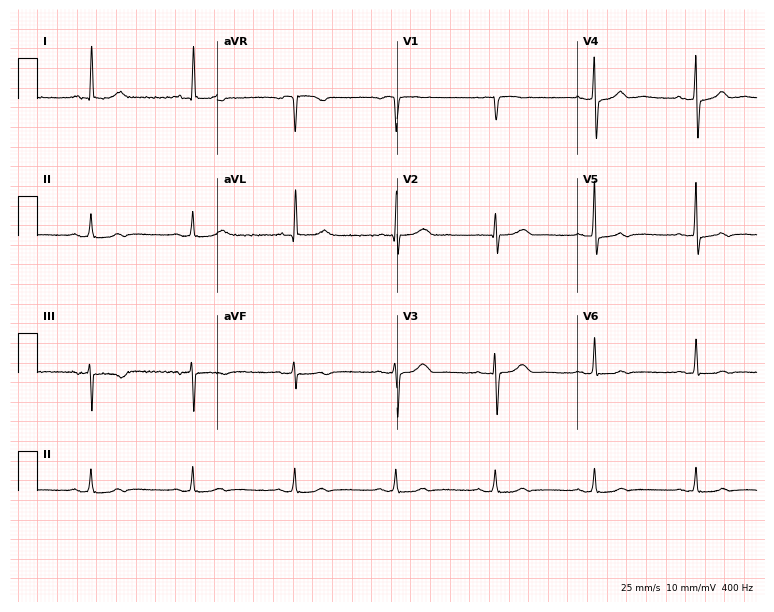
ECG — a female, 73 years old. Screened for six findings — first-degree AV block, right bundle branch block (RBBB), left bundle branch block (LBBB), sinus bradycardia, atrial fibrillation (AF), sinus tachycardia — none is recorded. Only these six findings were labelled.